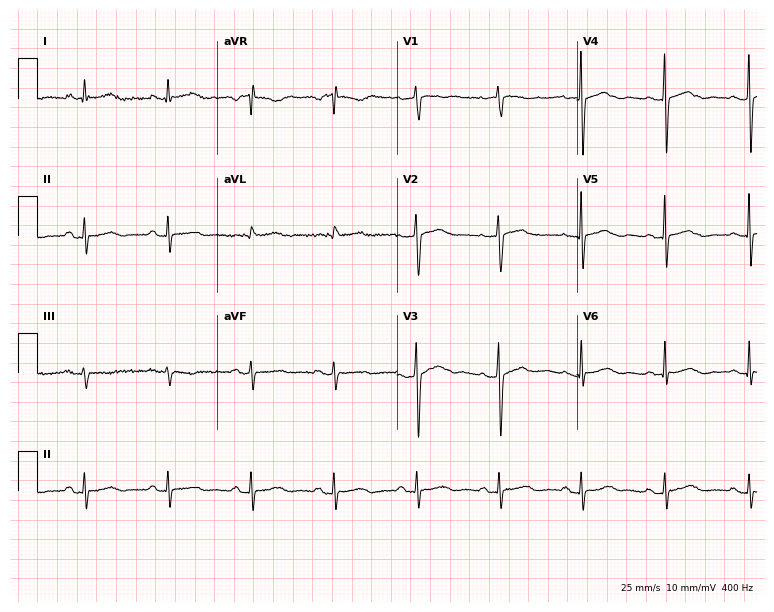
12-lead ECG from a 51-year-old woman. No first-degree AV block, right bundle branch block (RBBB), left bundle branch block (LBBB), sinus bradycardia, atrial fibrillation (AF) or sinus tachycardia recorded for this tracing.